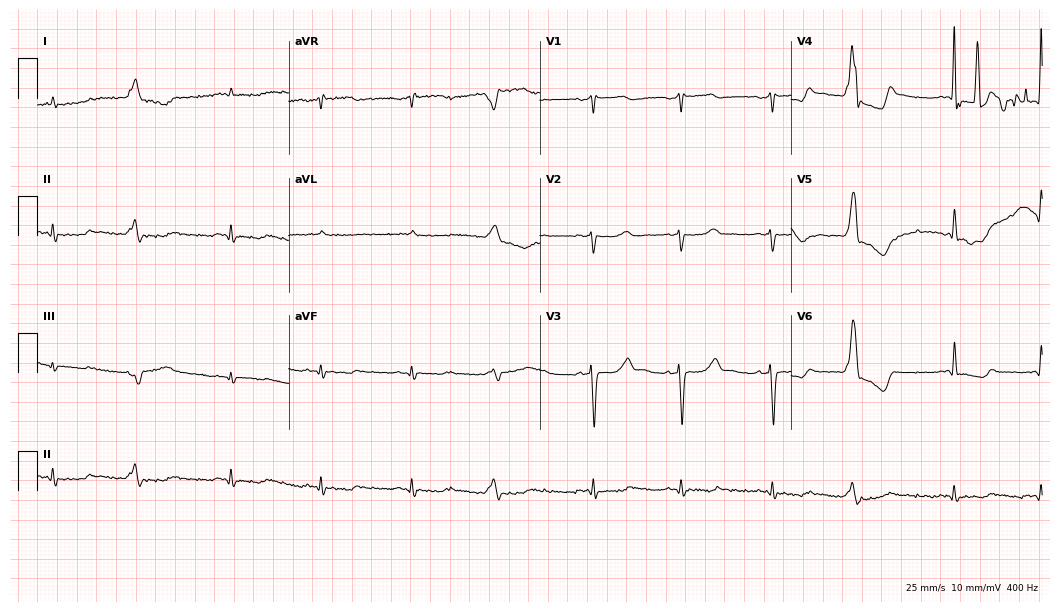
Resting 12-lead electrocardiogram. Patient: an 84-year-old male. None of these six findings is recorded: first-degree AV block, right bundle branch block, left bundle branch block, sinus bradycardia, atrial fibrillation, sinus tachycardia.